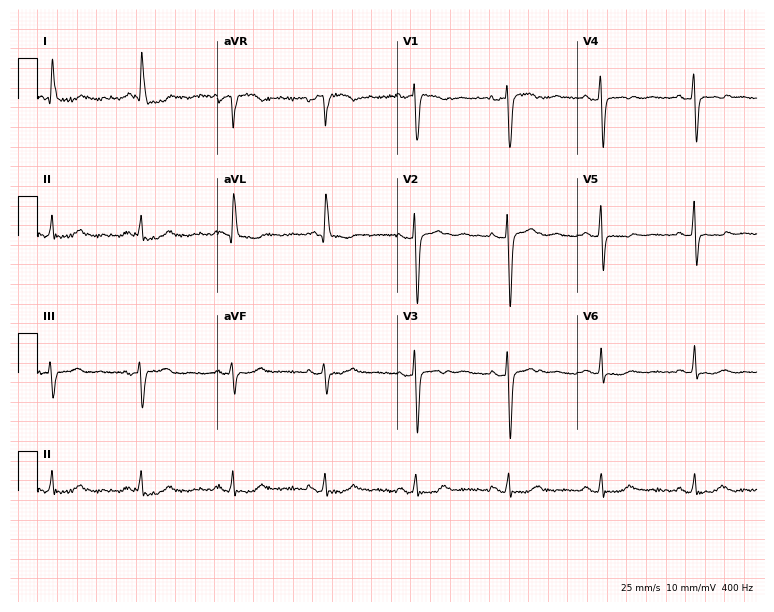
Electrocardiogram, a 59-year-old woman. Overall reading on record: normal ECG.